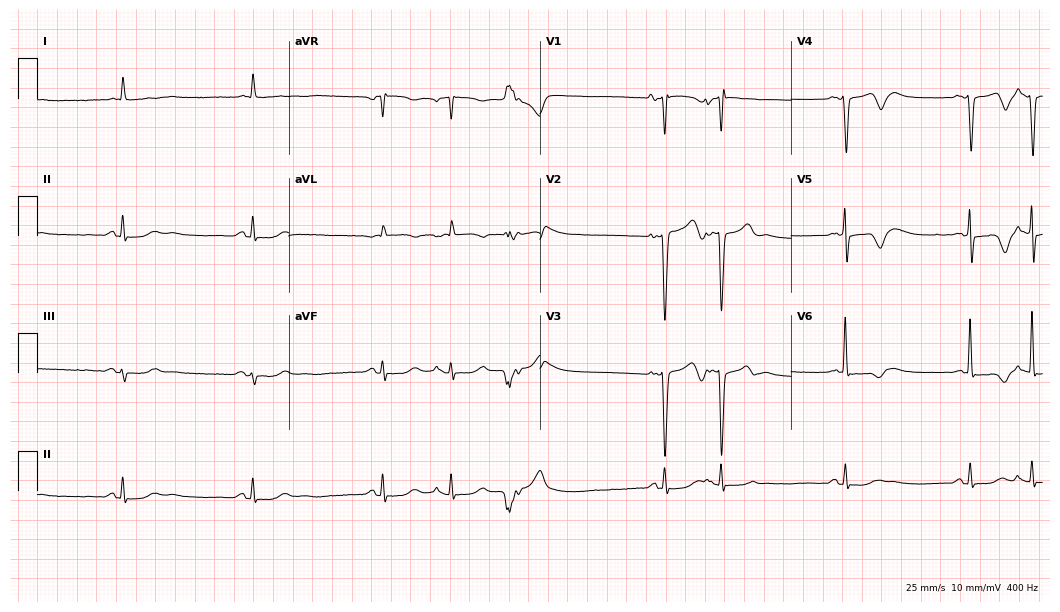
ECG (10.2-second recording at 400 Hz) — a 78-year-old female. Screened for six findings — first-degree AV block, right bundle branch block, left bundle branch block, sinus bradycardia, atrial fibrillation, sinus tachycardia — none is recorded. Findings outside these six are not listed.